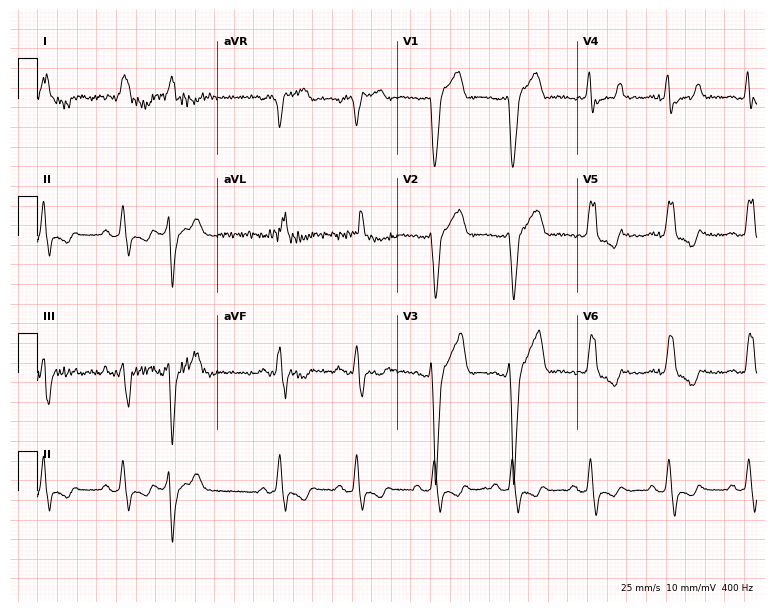
Electrocardiogram, a 79-year-old male patient. Interpretation includes left bundle branch block (LBBB).